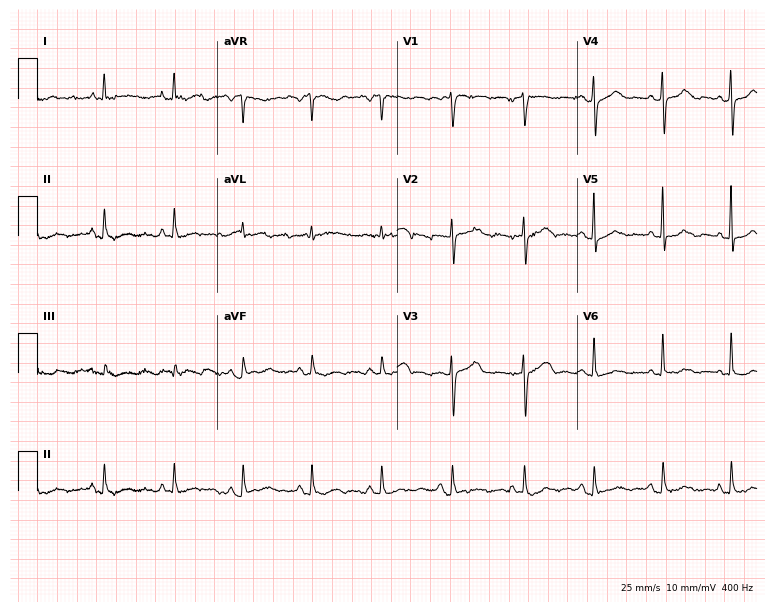
Resting 12-lead electrocardiogram. Patient: a female, 69 years old. Read as a normal ECG.